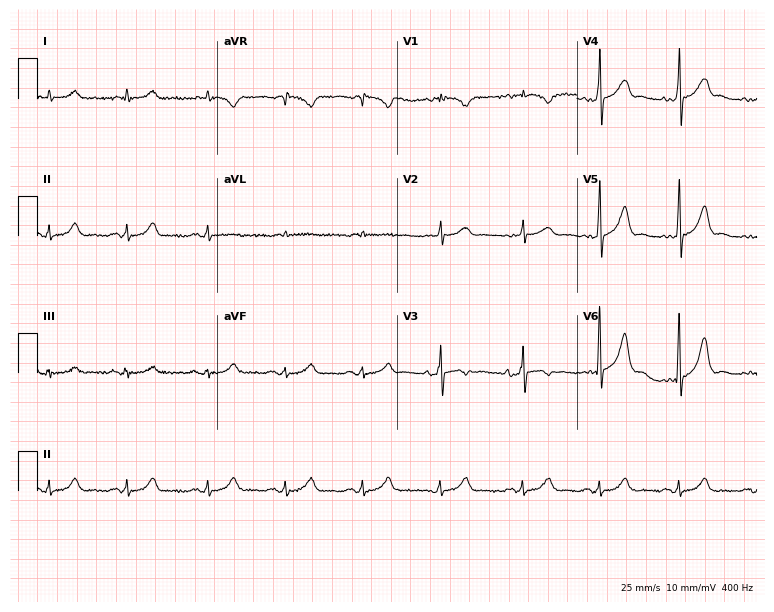
Resting 12-lead electrocardiogram (7.3-second recording at 400 Hz). Patient: a male, 77 years old. None of these six findings is recorded: first-degree AV block, right bundle branch block, left bundle branch block, sinus bradycardia, atrial fibrillation, sinus tachycardia. Other findings, if any, are not listed.